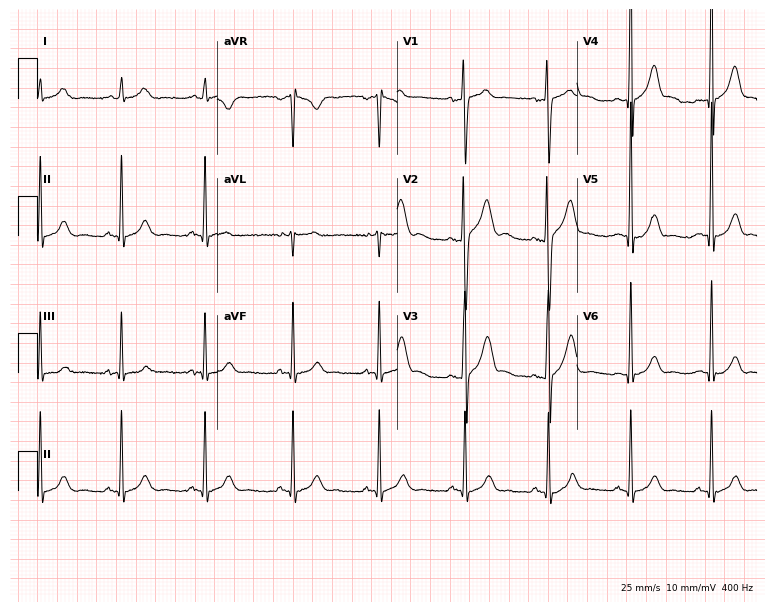
Electrocardiogram (7.3-second recording at 400 Hz), a 24-year-old male. Of the six screened findings (first-degree AV block, right bundle branch block (RBBB), left bundle branch block (LBBB), sinus bradycardia, atrial fibrillation (AF), sinus tachycardia), none is recorded. Other findings, if any, are not listed.